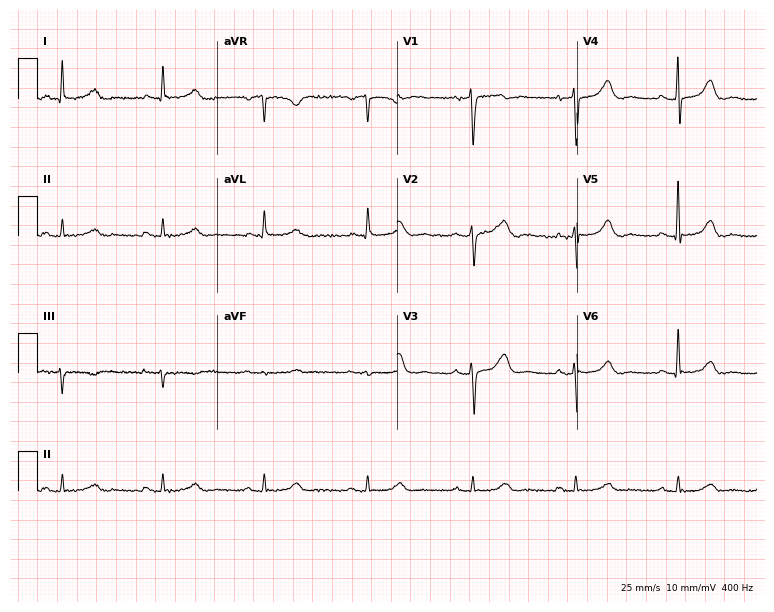
ECG — a male, 72 years old. Screened for six findings — first-degree AV block, right bundle branch block, left bundle branch block, sinus bradycardia, atrial fibrillation, sinus tachycardia — none is recorded.